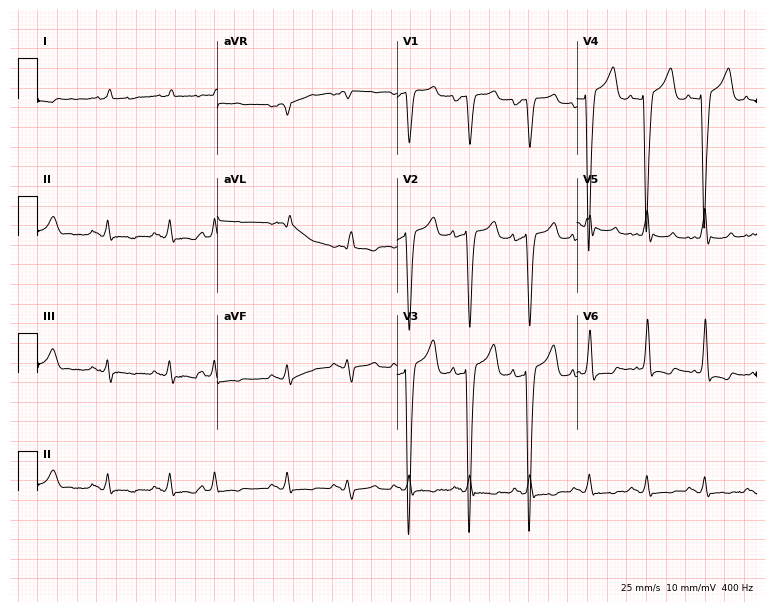
Standard 12-lead ECG recorded from a male, 72 years old. None of these six findings is recorded: first-degree AV block, right bundle branch block, left bundle branch block, sinus bradycardia, atrial fibrillation, sinus tachycardia. Only these six findings were labelled.